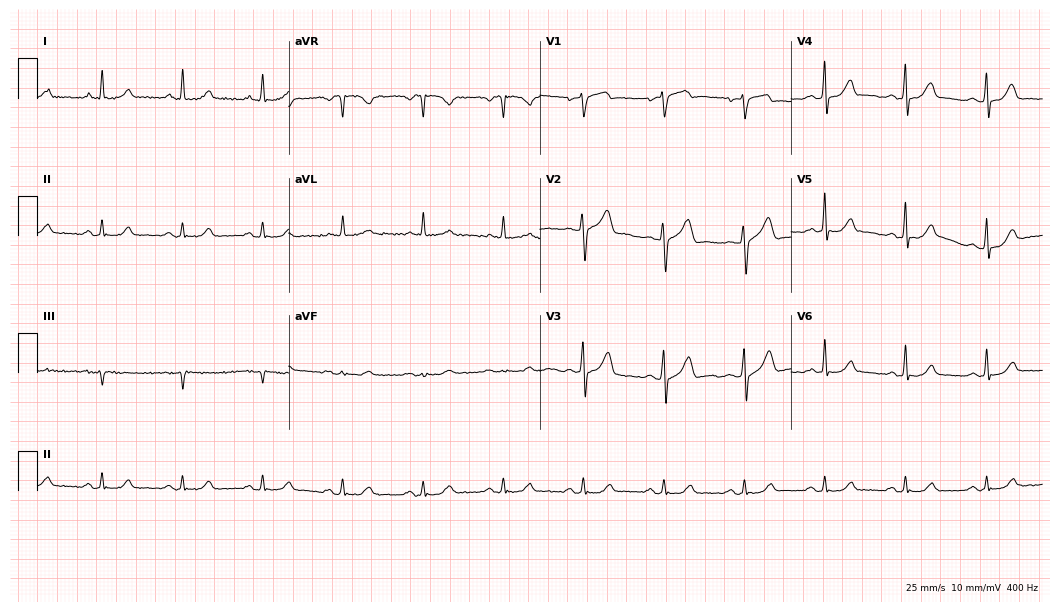
ECG (10.2-second recording at 400 Hz) — a man, 57 years old. Labelled as a normal ECG.